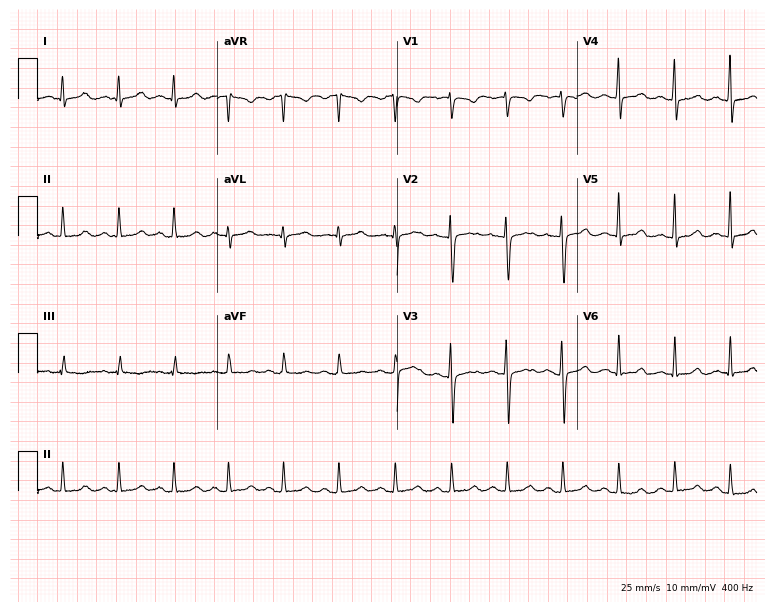
ECG — a 20-year-old woman. Findings include sinus tachycardia (a sinus rate of 100 beats per minute or more).